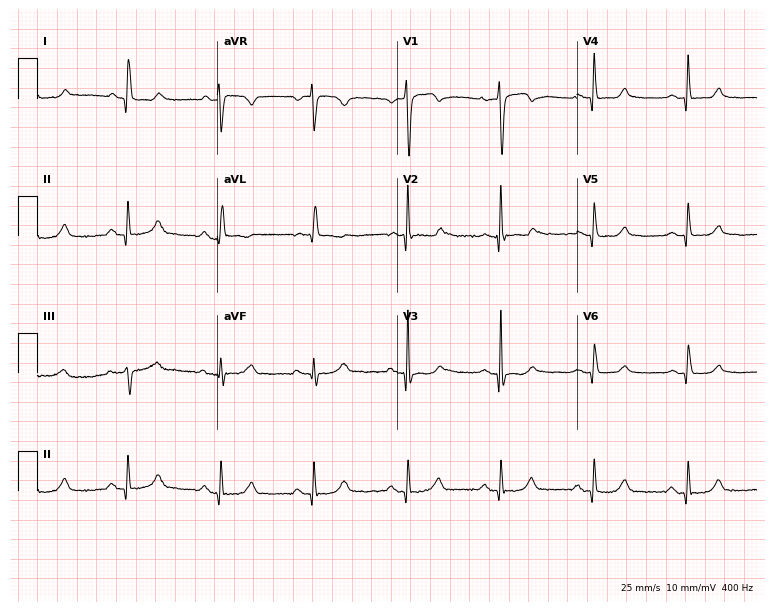
12-lead ECG from an 80-year-old woman (7.3-second recording at 400 Hz). No first-degree AV block, right bundle branch block (RBBB), left bundle branch block (LBBB), sinus bradycardia, atrial fibrillation (AF) or sinus tachycardia recorded for this tracing. Only these six findings were labelled.